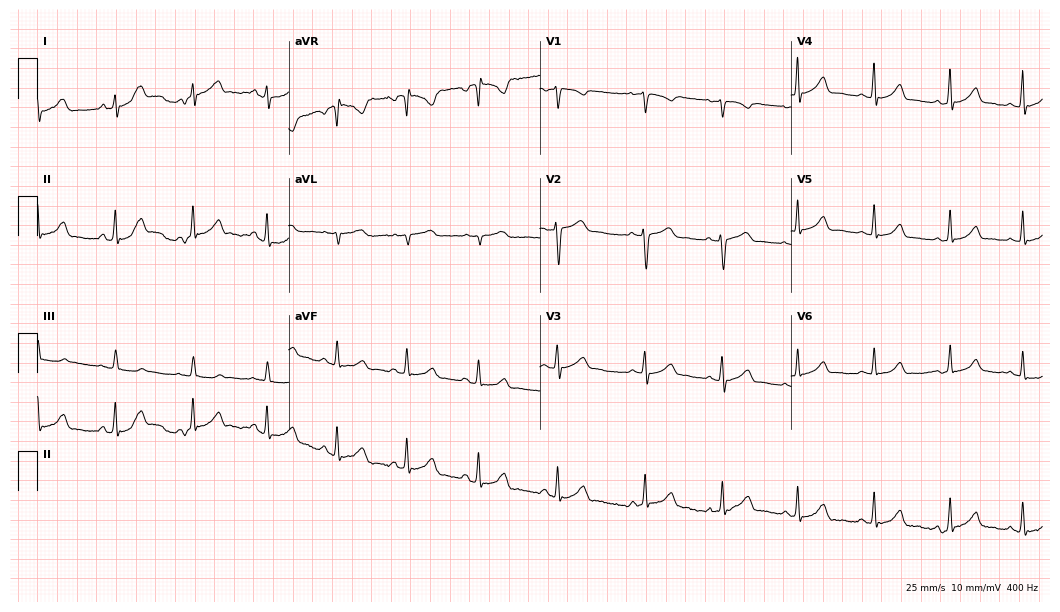
Standard 12-lead ECG recorded from a 22-year-old woman. Read as a normal ECG.